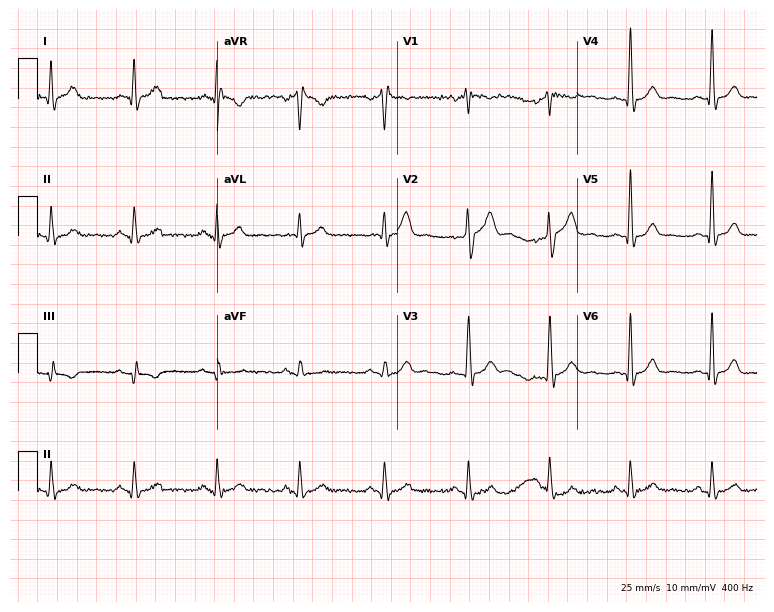
12-lead ECG from a 35-year-old male patient. Labelled as a normal ECG.